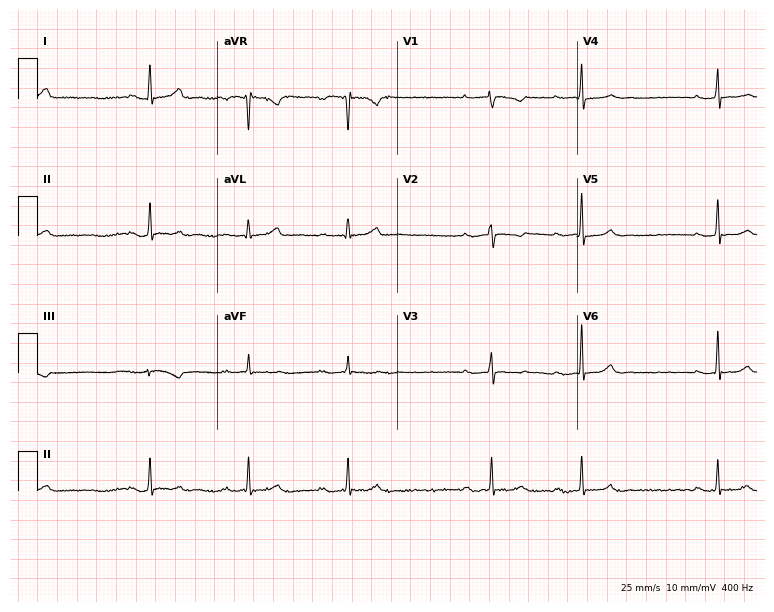
12-lead ECG (7.3-second recording at 400 Hz) from a 34-year-old woman. Findings include first-degree AV block.